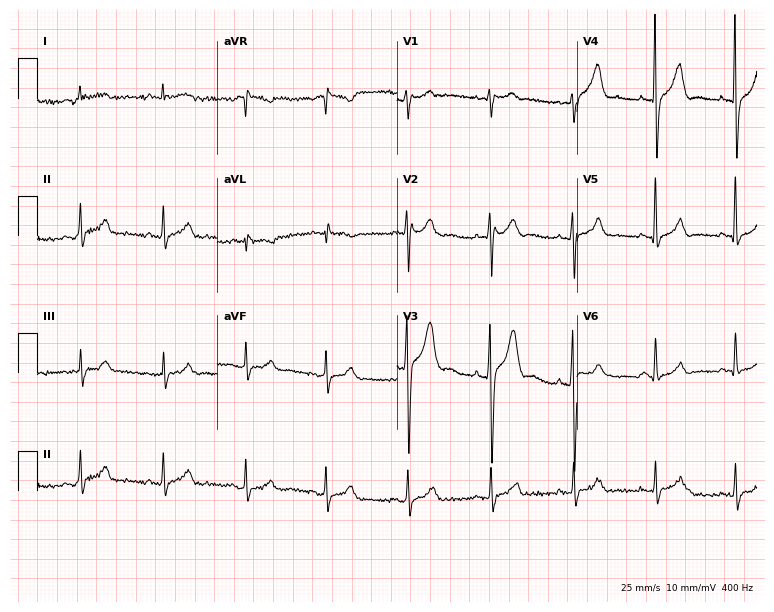
12-lead ECG (7.3-second recording at 400 Hz) from a male patient, 34 years old. Screened for six findings — first-degree AV block, right bundle branch block, left bundle branch block, sinus bradycardia, atrial fibrillation, sinus tachycardia — none is recorded. Other findings, if any, are not listed.